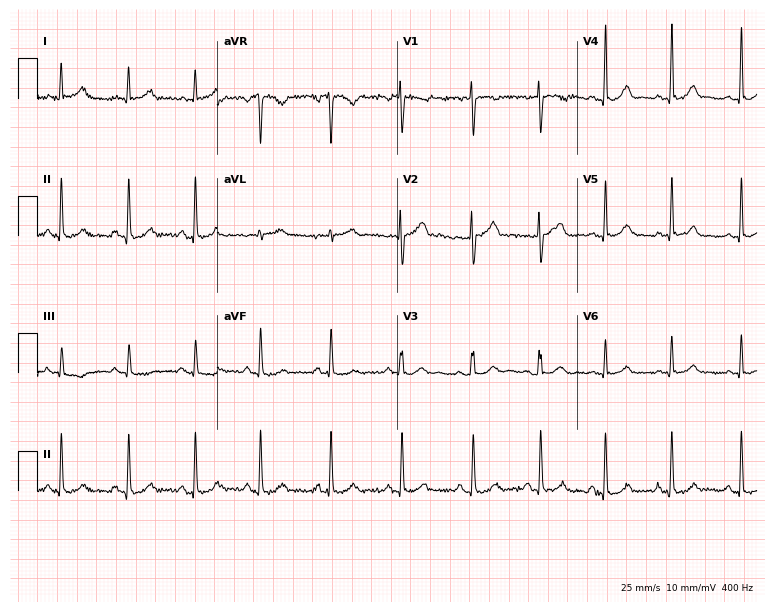
12-lead ECG (7.3-second recording at 400 Hz) from a 24-year-old woman. Labelled as a normal ECG.